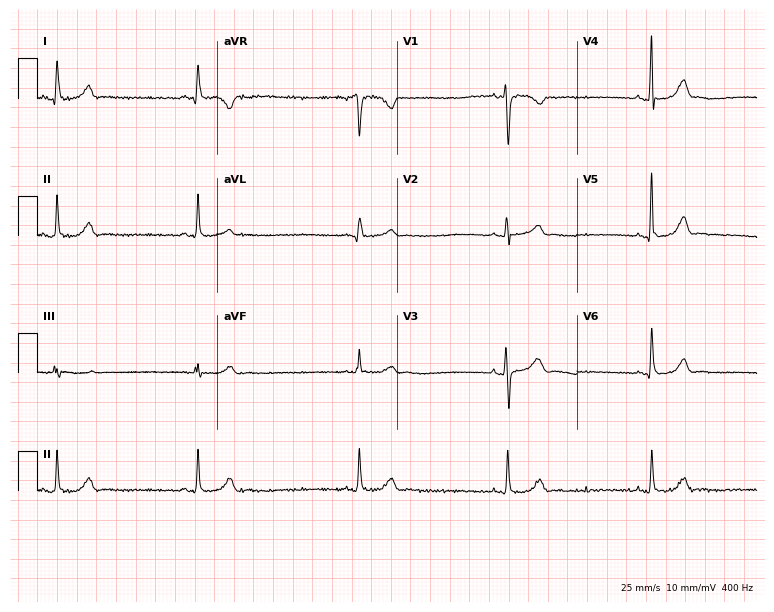
12-lead ECG from a 58-year-old woman. Findings include sinus bradycardia (a sinus rate of 50 beats per minute or less).